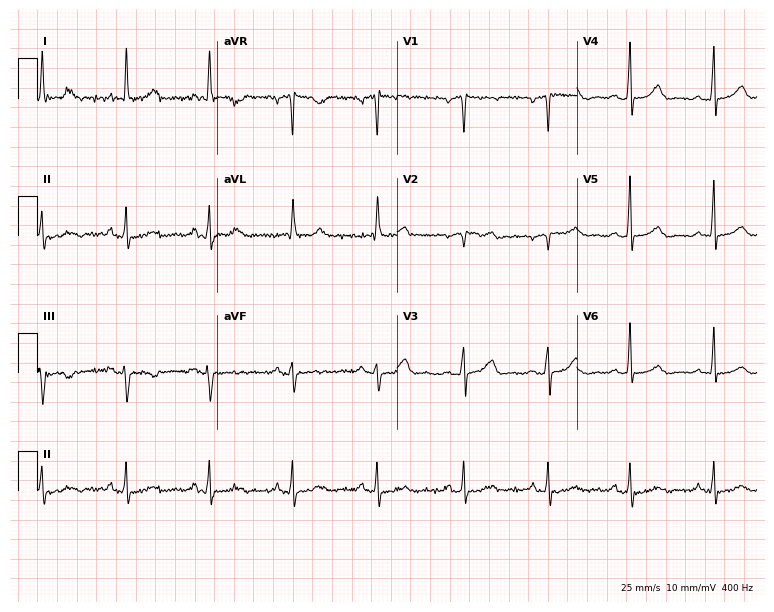
Electrocardiogram (7.3-second recording at 400 Hz), a 65-year-old woman. Of the six screened findings (first-degree AV block, right bundle branch block, left bundle branch block, sinus bradycardia, atrial fibrillation, sinus tachycardia), none is recorded.